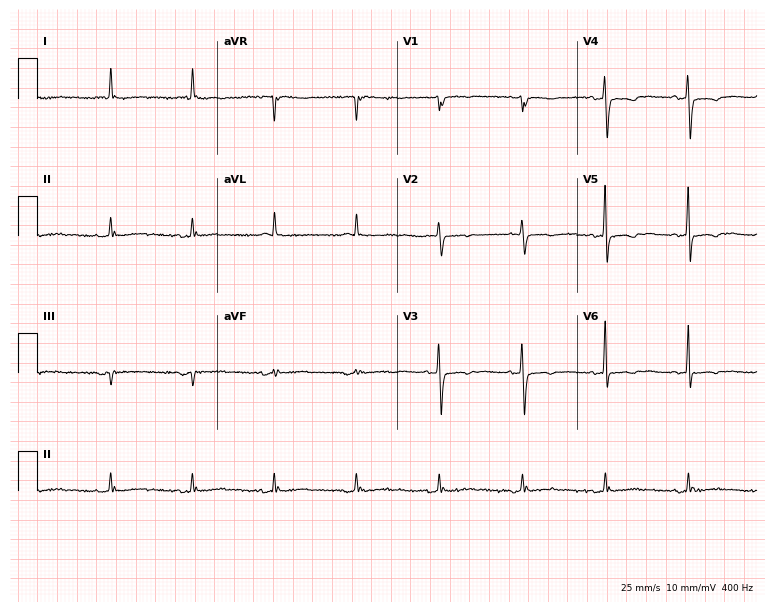
12-lead ECG from a 75-year-old female patient (7.3-second recording at 400 Hz). No first-degree AV block, right bundle branch block, left bundle branch block, sinus bradycardia, atrial fibrillation or sinus tachycardia recorded for this tracing.